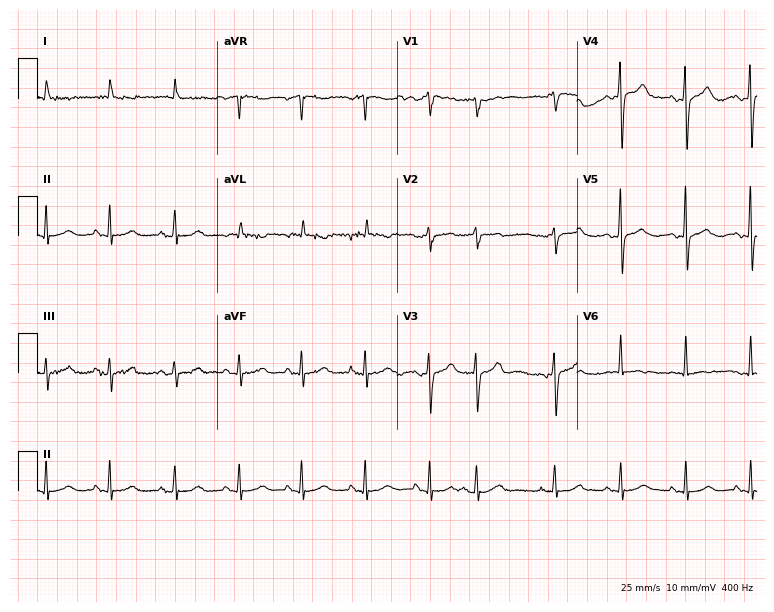
ECG — a female patient, 68 years old. Screened for six findings — first-degree AV block, right bundle branch block, left bundle branch block, sinus bradycardia, atrial fibrillation, sinus tachycardia — none is recorded.